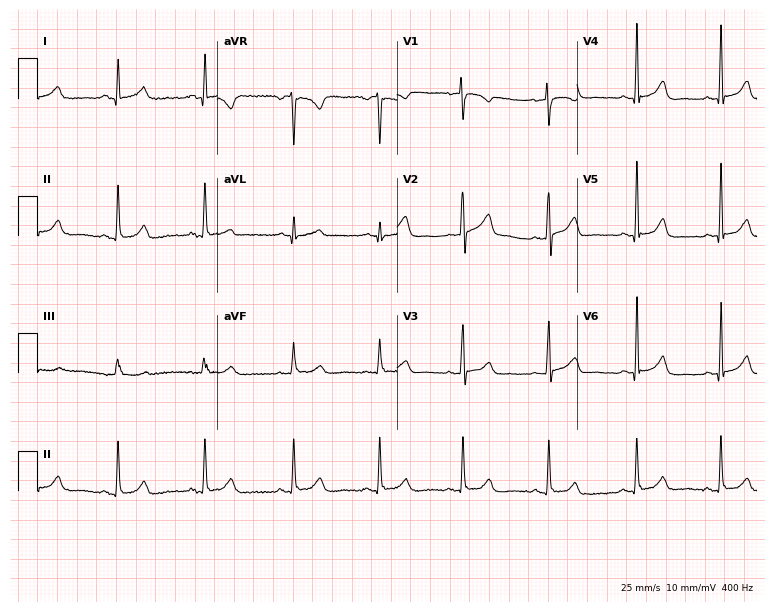
Resting 12-lead electrocardiogram (7.3-second recording at 400 Hz). Patient: a woman, 44 years old. None of these six findings is recorded: first-degree AV block, right bundle branch block, left bundle branch block, sinus bradycardia, atrial fibrillation, sinus tachycardia.